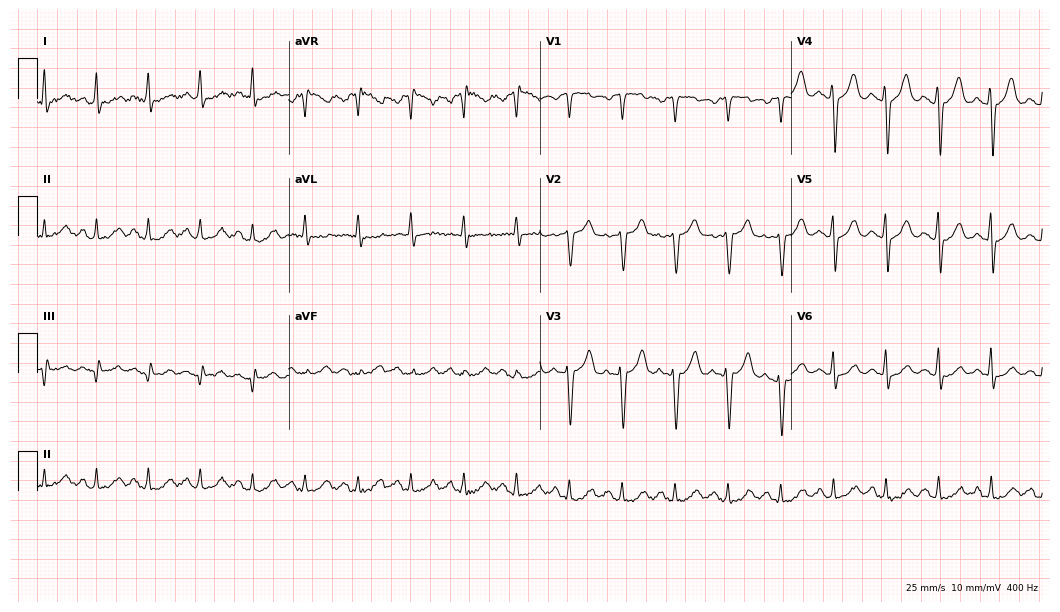
Standard 12-lead ECG recorded from a 53-year-old female patient (10.2-second recording at 400 Hz). The tracing shows sinus tachycardia (a sinus rate of 100 beats per minute or more).